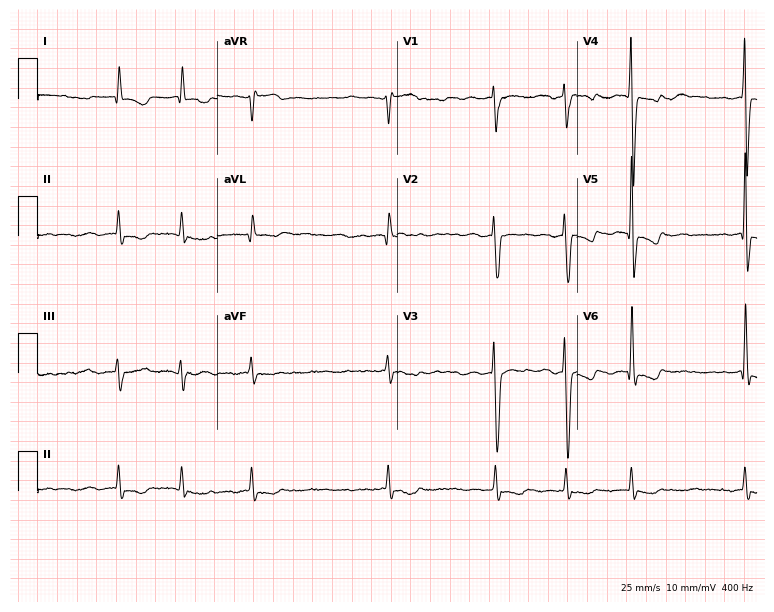
Electrocardiogram, a 75-year-old woman. Interpretation includes atrial fibrillation (AF).